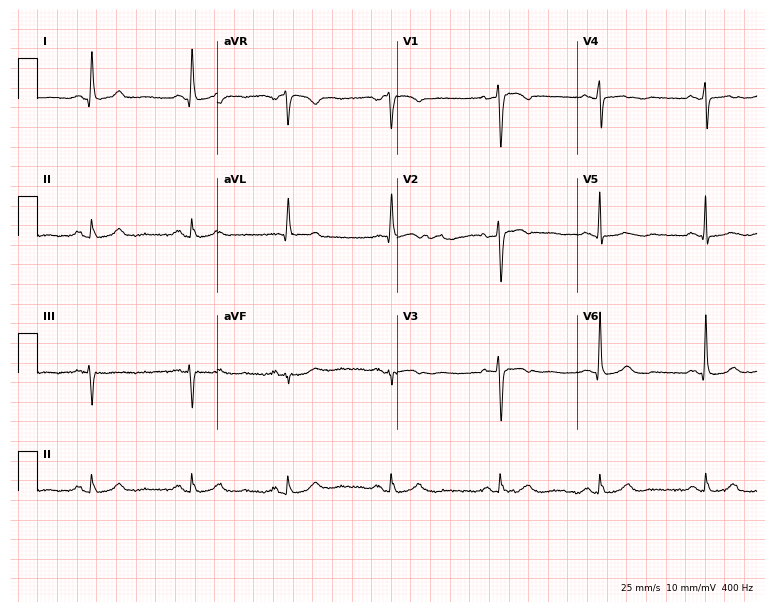
ECG — a female, 51 years old. Screened for six findings — first-degree AV block, right bundle branch block (RBBB), left bundle branch block (LBBB), sinus bradycardia, atrial fibrillation (AF), sinus tachycardia — none is recorded. Only these six findings were labelled.